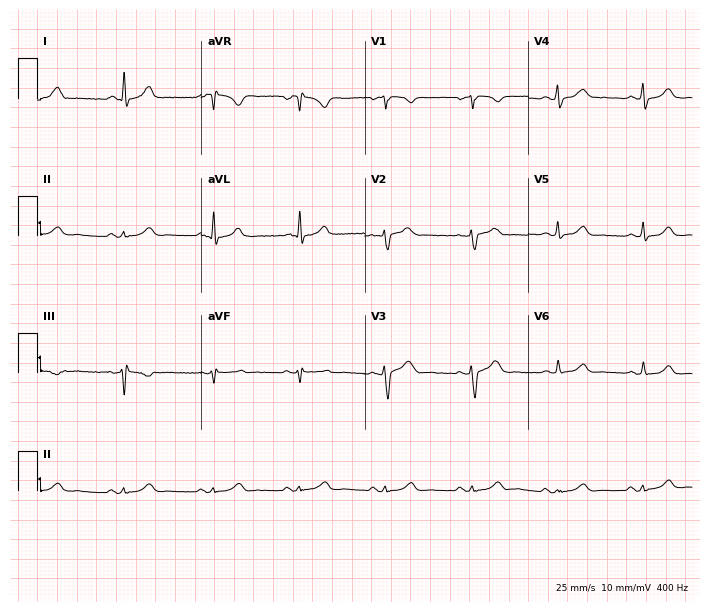
ECG — a female patient, 37 years old. Labelled as a normal ECG.